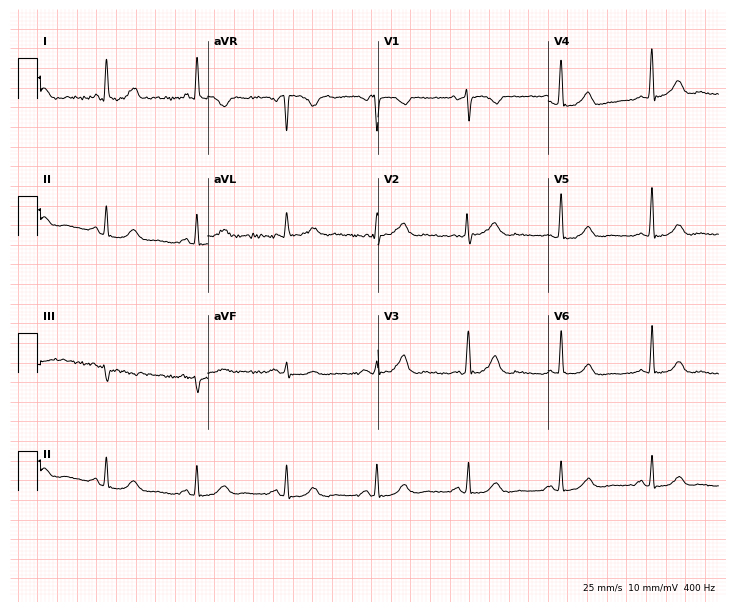
Resting 12-lead electrocardiogram (6.9-second recording at 400 Hz). Patient: a female, 65 years old. Read as a normal ECG.